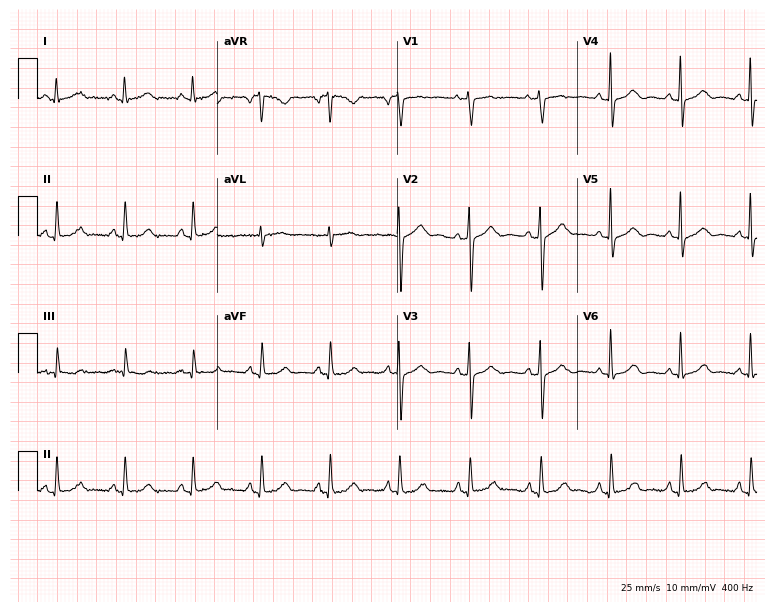
Resting 12-lead electrocardiogram (7.3-second recording at 400 Hz). Patient: a woman, 59 years old. None of these six findings is recorded: first-degree AV block, right bundle branch block, left bundle branch block, sinus bradycardia, atrial fibrillation, sinus tachycardia. Findings outside these six are not listed.